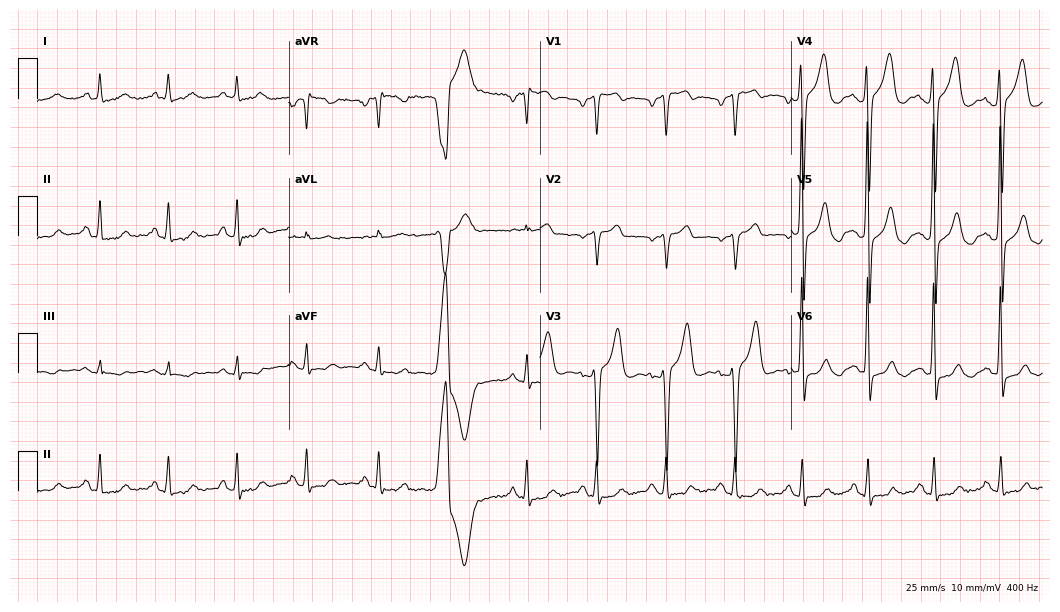
12-lead ECG (10.2-second recording at 400 Hz) from a 53-year-old male patient. Screened for six findings — first-degree AV block, right bundle branch block (RBBB), left bundle branch block (LBBB), sinus bradycardia, atrial fibrillation (AF), sinus tachycardia — none is recorded.